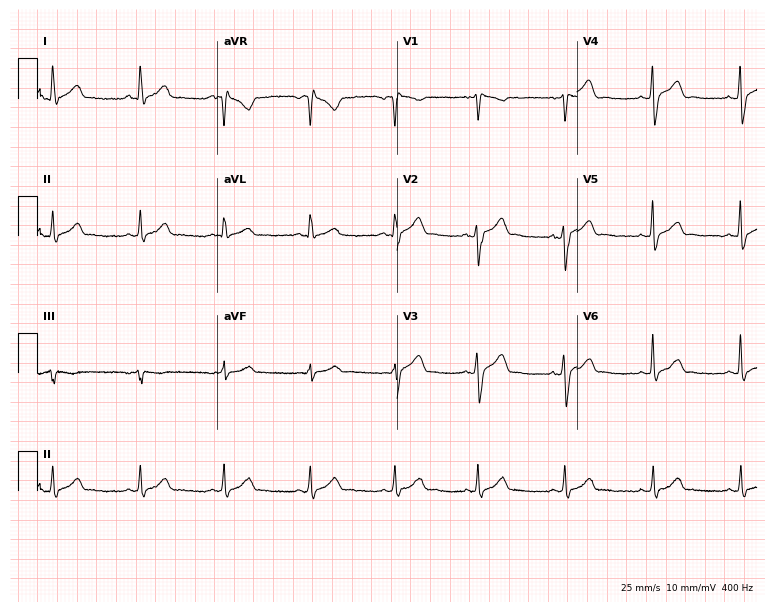
Standard 12-lead ECG recorded from a 28-year-old man. Read as a normal ECG.